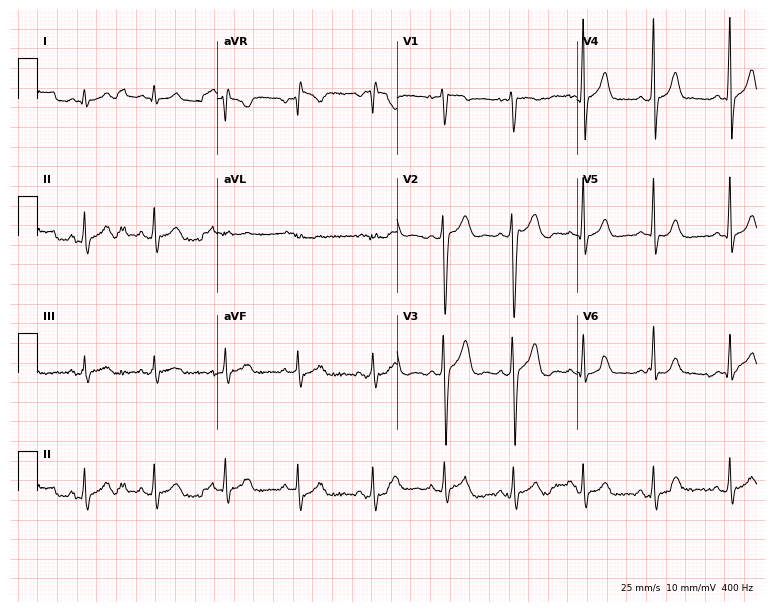
12-lead ECG from an 18-year-old male patient. Recorded interpretation: within normal limits.